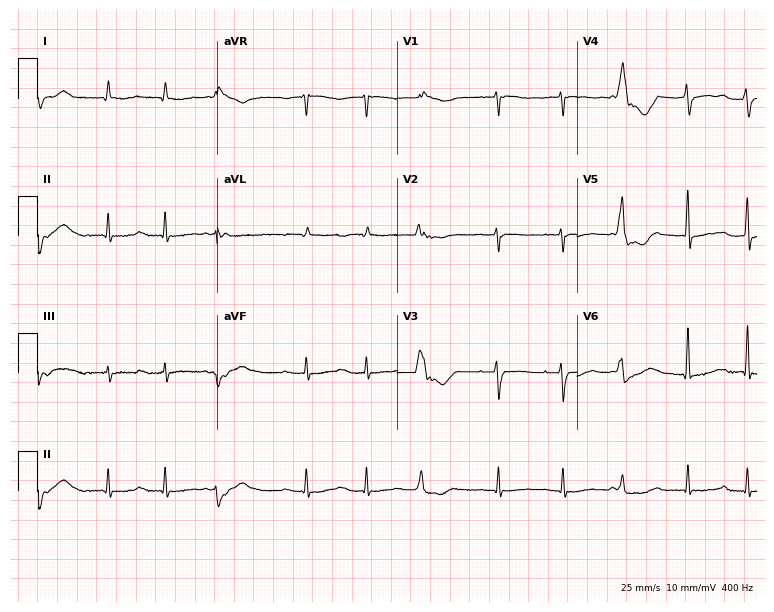
12-lead ECG from a 76-year-old man. No first-degree AV block, right bundle branch block (RBBB), left bundle branch block (LBBB), sinus bradycardia, atrial fibrillation (AF) or sinus tachycardia recorded for this tracing.